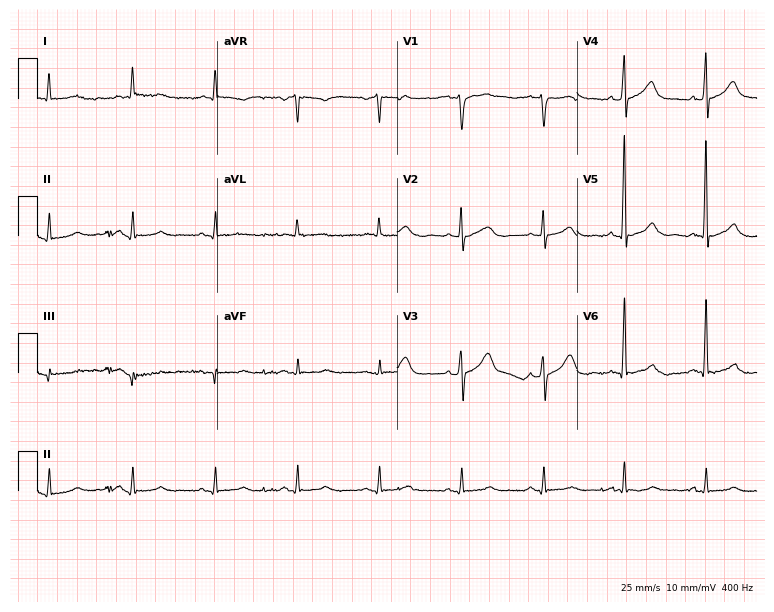
12-lead ECG from a man, 65 years old. Labelled as a normal ECG.